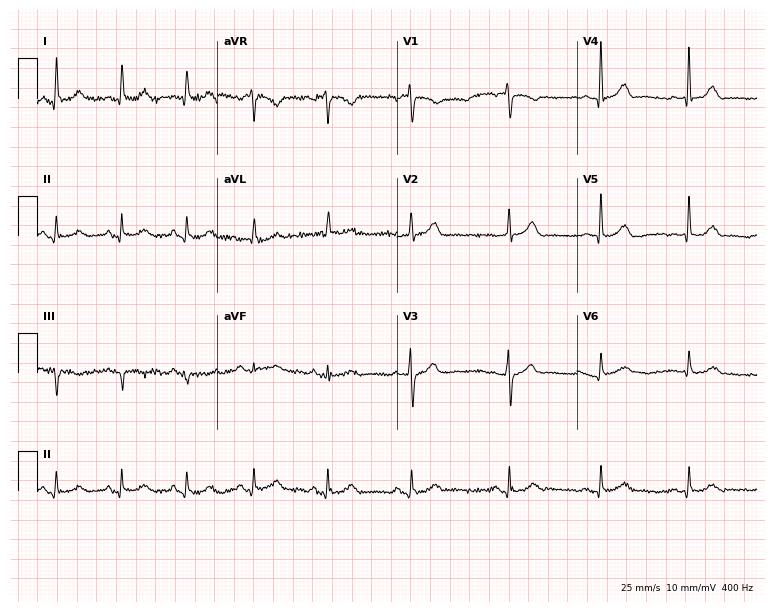
12-lead ECG from a woman, 75 years old (7.3-second recording at 400 Hz). Recorded interpretation: within normal limits.